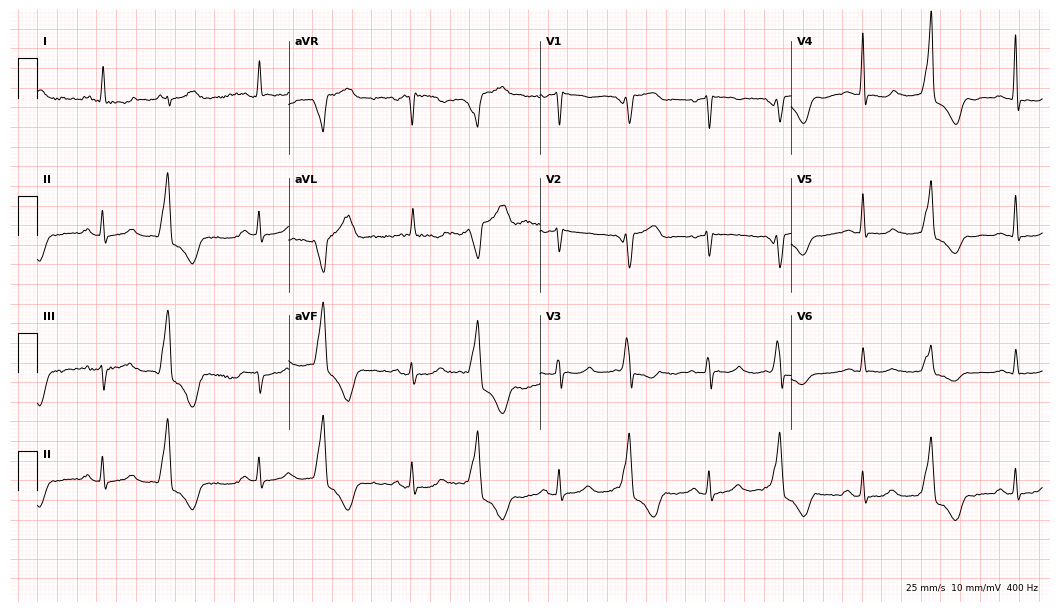
Electrocardiogram, a female, 73 years old. Of the six screened findings (first-degree AV block, right bundle branch block (RBBB), left bundle branch block (LBBB), sinus bradycardia, atrial fibrillation (AF), sinus tachycardia), none is recorded.